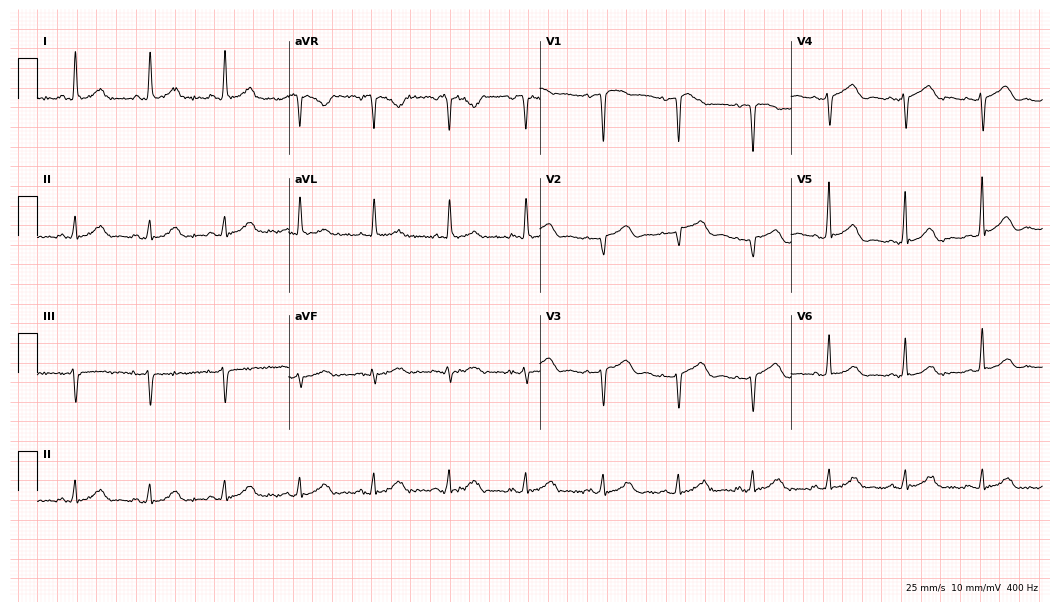
Standard 12-lead ECG recorded from a 63-year-old female. None of these six findings is recorded: first-degree AV block, right bundle branch block, left bundle branch block, sinus bradycardia, atrial fibrillation, sinus tachycardia.